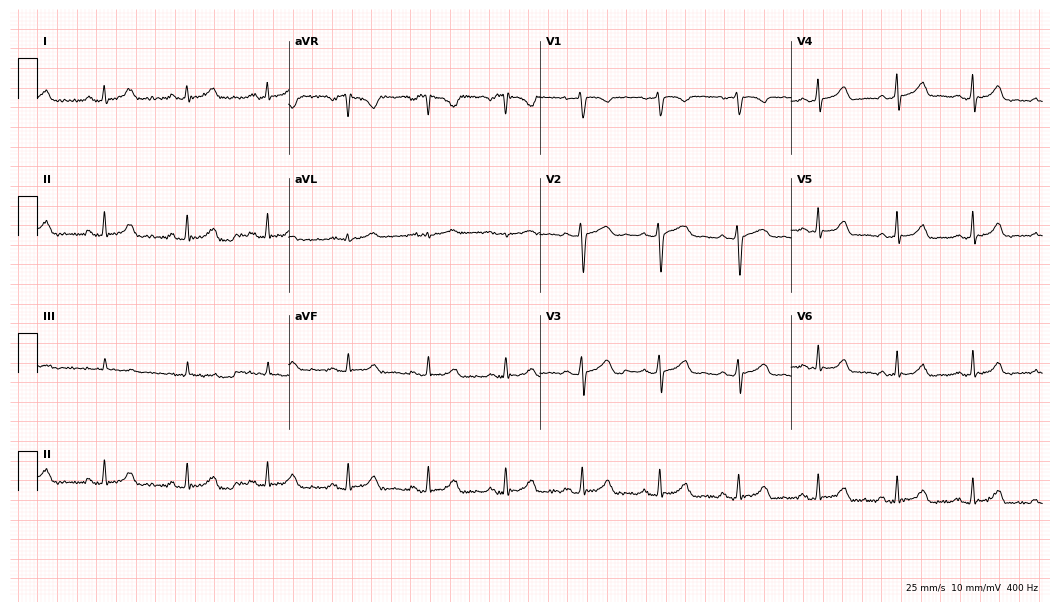
12-lead ECG from a female patient, 34 years old. Recorded interpretation: within normal limits.